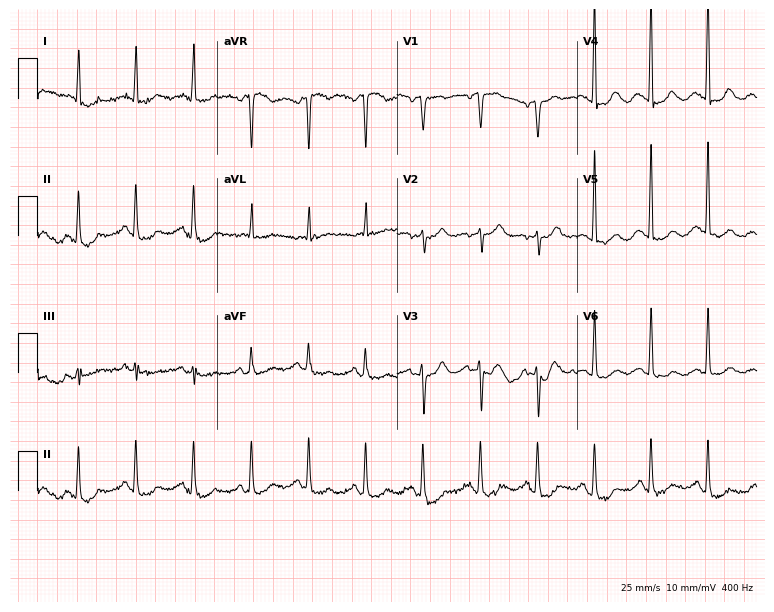
Resting 12-lead electrocardiogram. Patient: a 73-year-old female. The tracing shows sinus tachycardia (a sinus rate of 100 beats per minute or more).